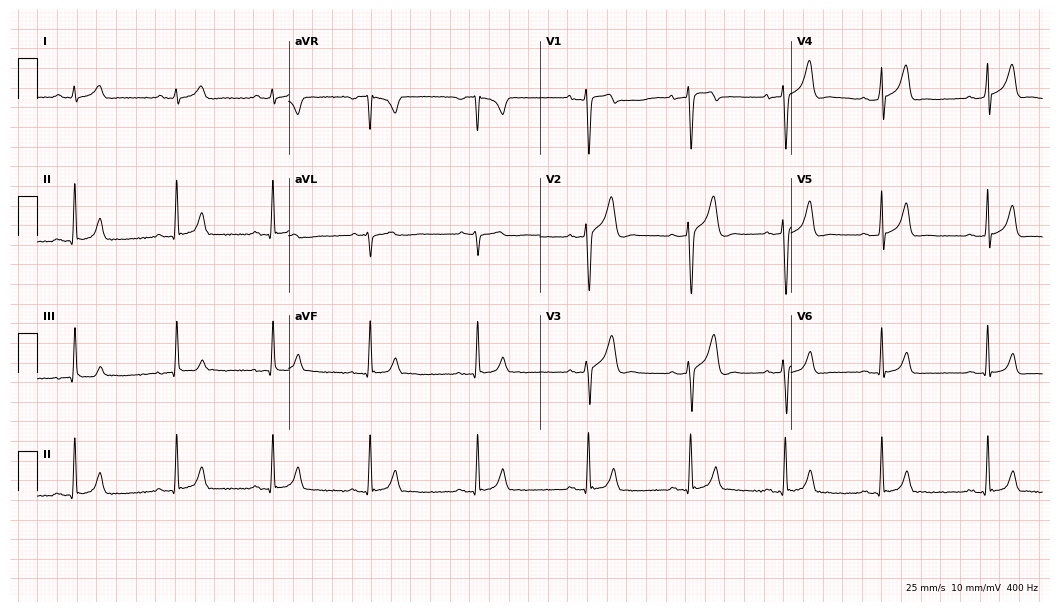
Electrocardiogram, a male patient, 22 years old. Overall reading on record: normal ECG.